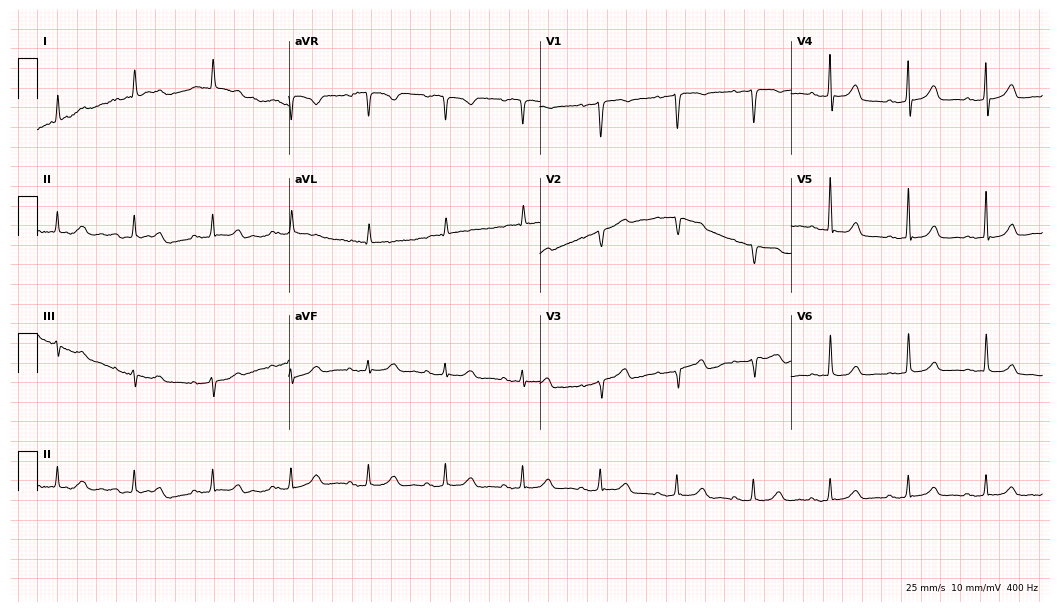
12-lead ECG from a female patient, 87 years old (10.2-second recording at 400 Hz). No first-degree AV block, right bundle branch block, left bundle branch block, sinus bradycardia, atrial fibrillation or sinus tachycardia recorded for this tracing. Only these six findings were labelled.